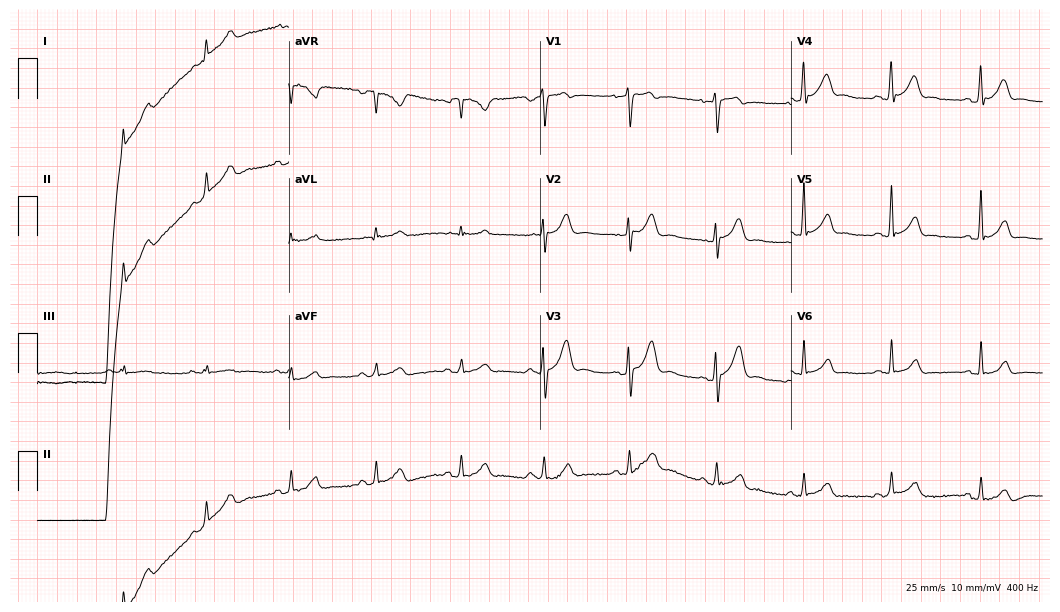
Standard 12-lead ECG recorded from a male patient, 31 years old (10.2-second recording at 400 Hz). Read as a normal ECG.